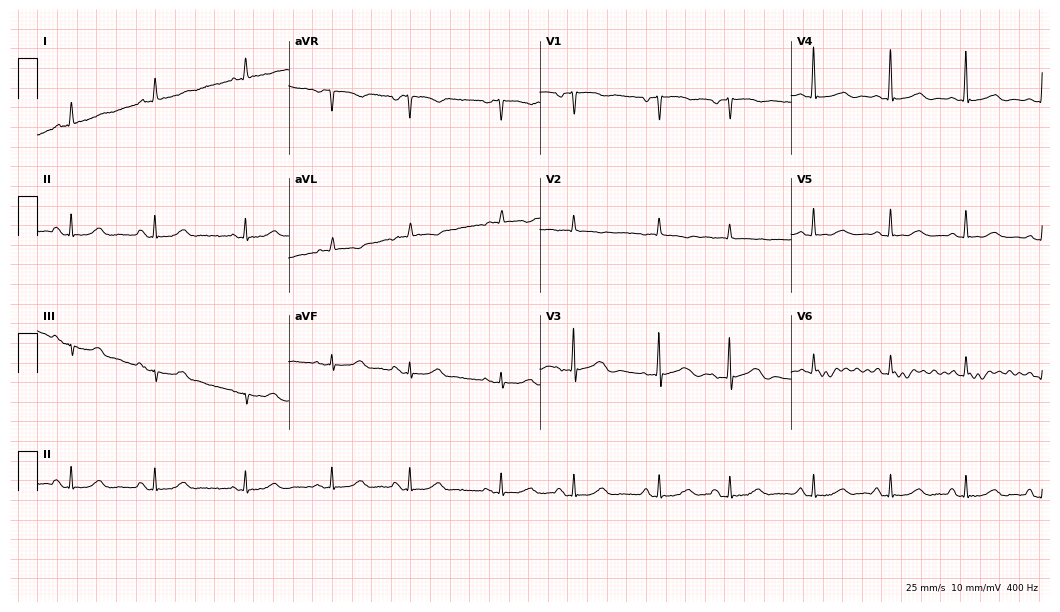
12-lead ECG from a female, 85 years old. Screened for six findings — first-degree AV block, right bundle branch block (RBBB), left bundle branch block (LBBB), sinus bradycardia, atrial fibrillation (AF), sinus tachycardia — none is recorded. Other findings, if any, are not listed.